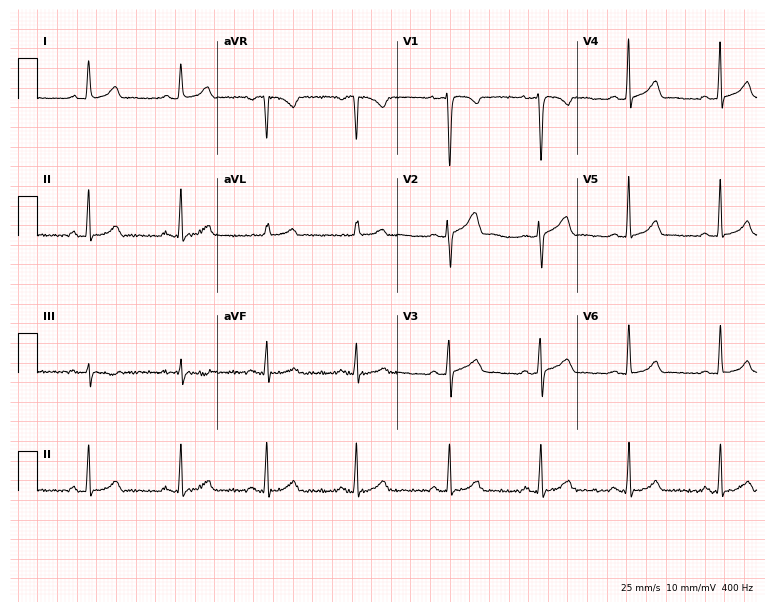
12-lead ECG from a female, 38 years old. Screened for six findings — first-degree AV block, right bundle branch block, left bundle branch block, sinus bradycardia, atrial fibrillation, sinus tachycardia — none is recorded.